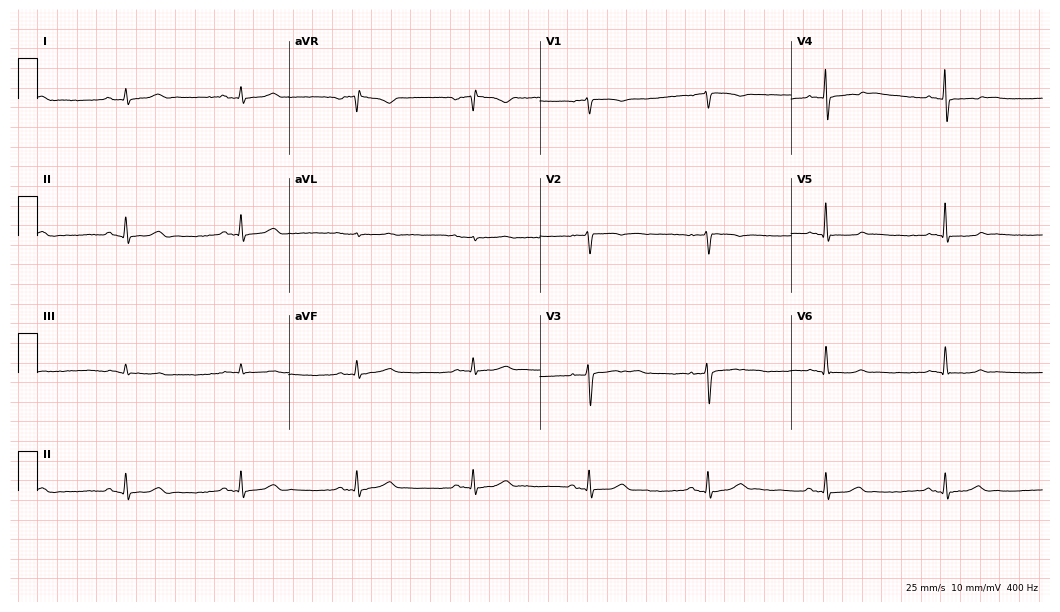
12-lead ECG from a 77-year-old man. Findings include sinus bradycardia (a sinus rate of 50 beats per minute or less).